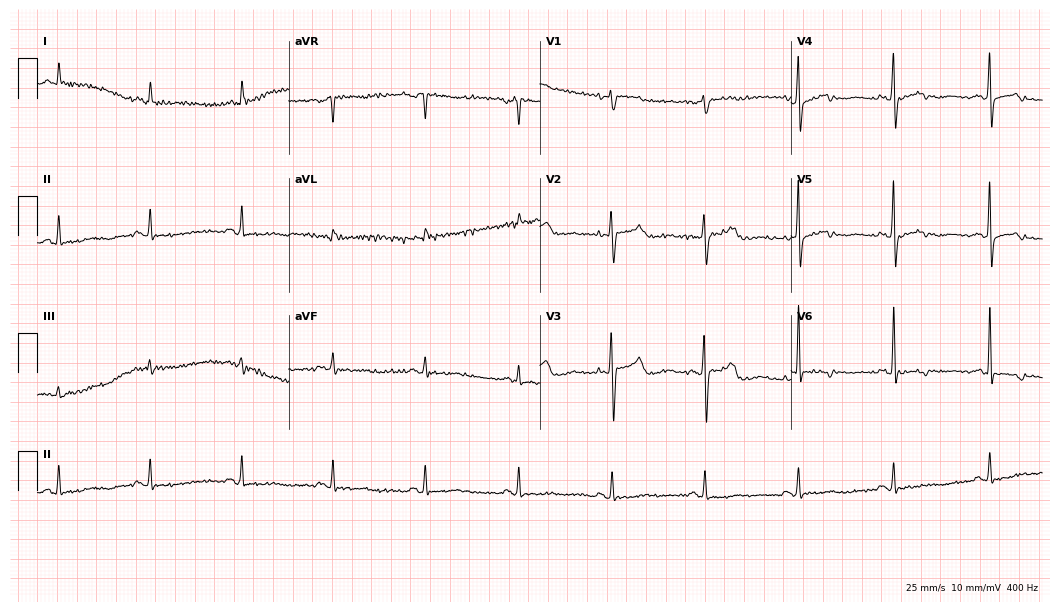
Standard 12-lead ECG recorded from a female, 76 years old. None of these six findings is recorded: first-degree AV block, right bundle branch block (RBBB), left bundle branch block (LBBB), sinus bradycardia, atrial fibrillation (AF), sinus tachycardia. Only these six findings were labelled.